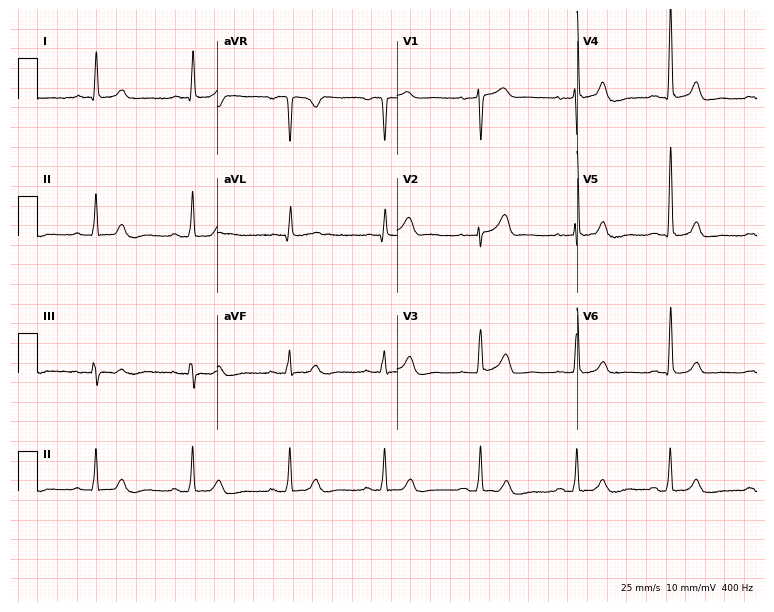
ECG — a 78-year-old female patient. Screened for six findings — first-degree AV block, right bundle branch block (RBBB), left bundle branch block (LBBB), sinus bradycardia, atrial fibrillation (AF), sinus tachycardia — none is recorded.